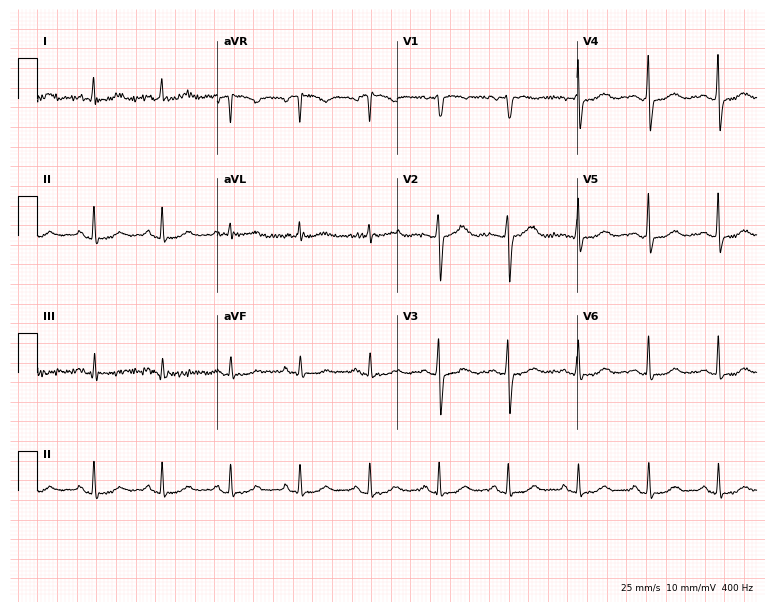
ECG (7.3-second recording at 400 Hz) — a female patient, 49 years old. Labelled as a normal ECG.